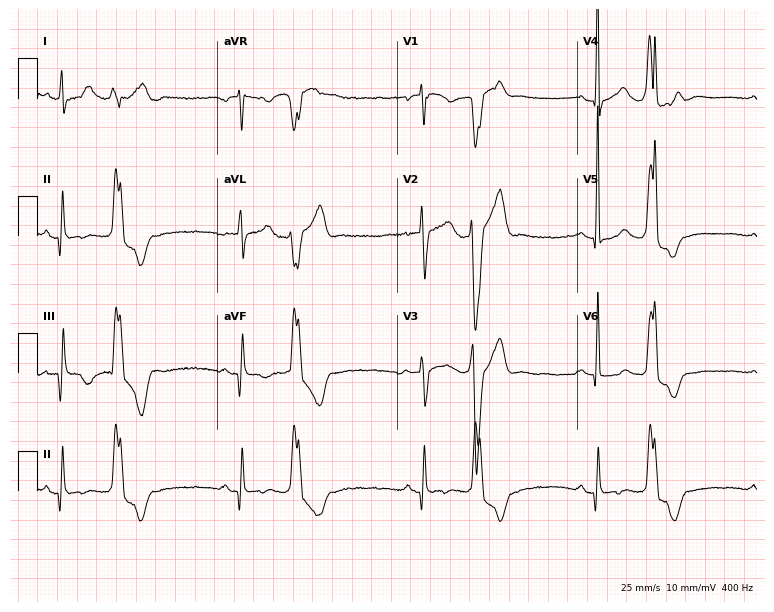
ECG (7.3-second recording at 400 Hz) — a man, 51 years old. Screened for six findings — first-degree AV block, right bundle branch block, left bundle branch block, sinus bradycardia, atrial fibrillation, sinus tachycardia — none is recorded. Other findings, if any, are not listed.